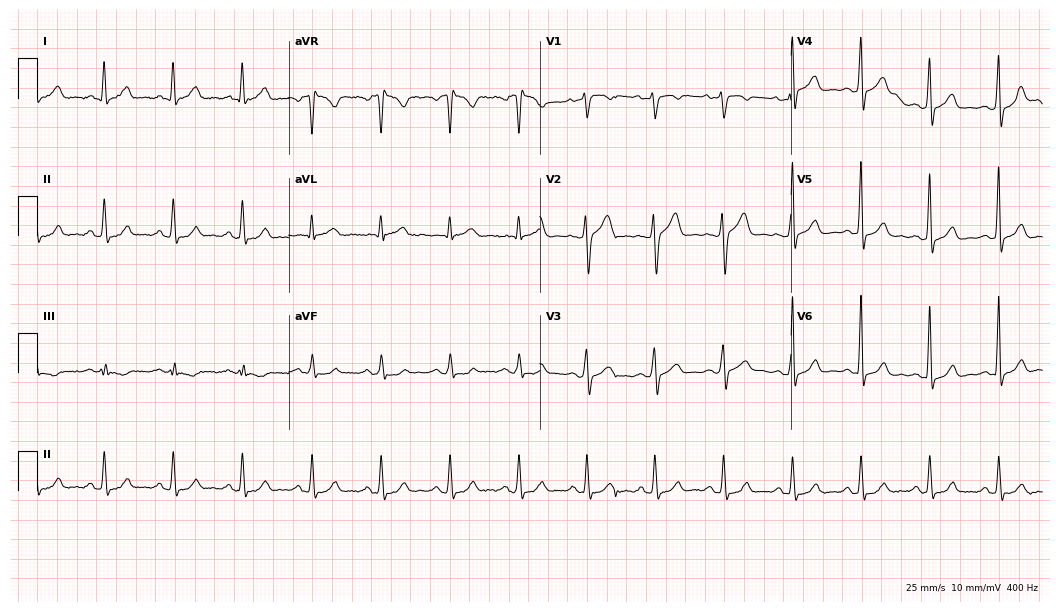
Electrocardiogram, a 42-year-old man. Overall reading on record: normal ECG.